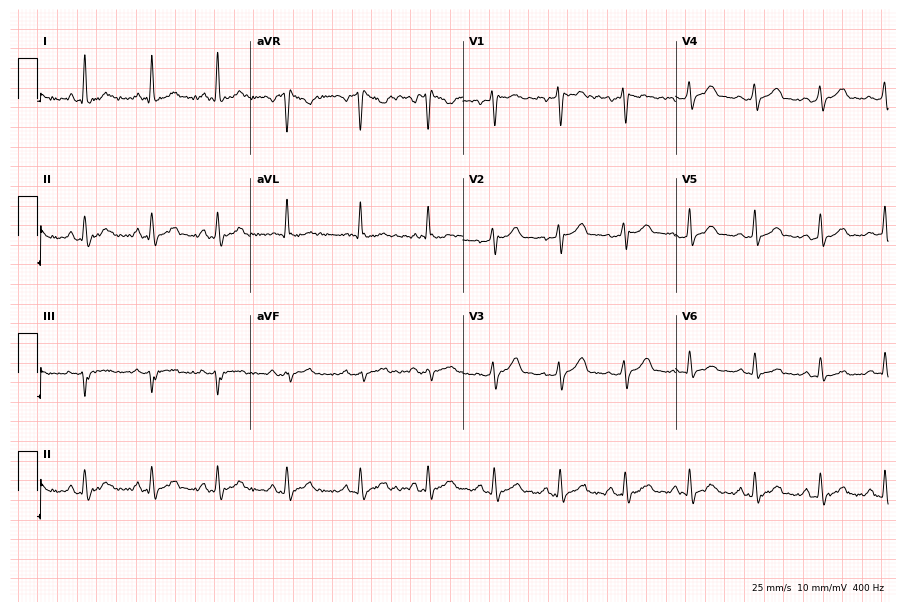
Electrocardiogram, a 30-year-old man. Of the six screened findings (first-degree AV block, right bundle branch block (RBBB), left bundle branch block (LBBB), sinus bradycardia, atrial fibrillation (AF), sinus tachycardia), none is recorded. Only these six findings were labelled.